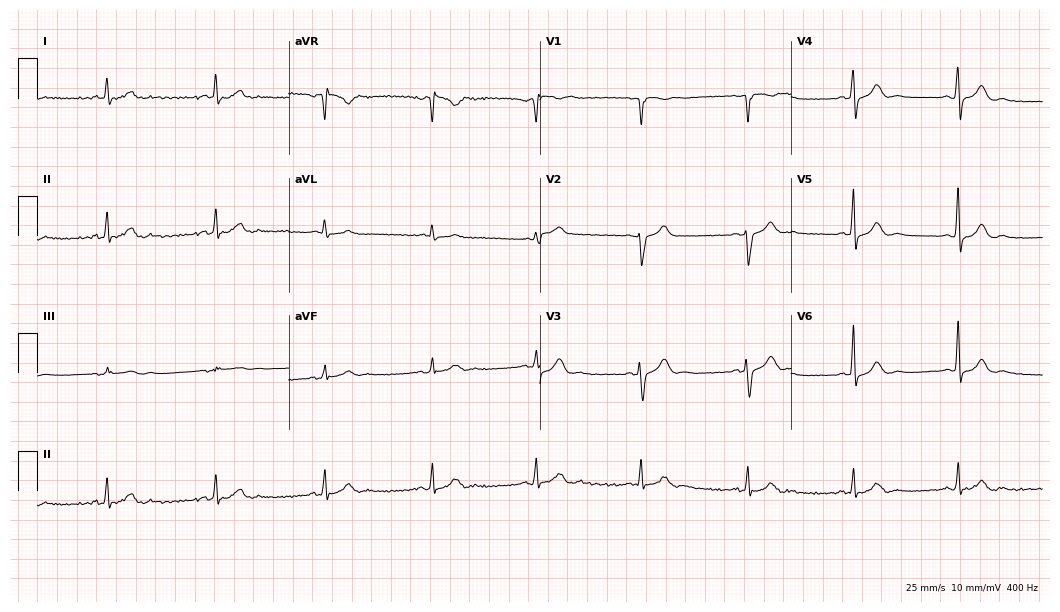
Resting 12-lead electrocardiogram (10.2-second recording at 400 Hz). Patient: a 44-year-old male. Read as a normal ECG.